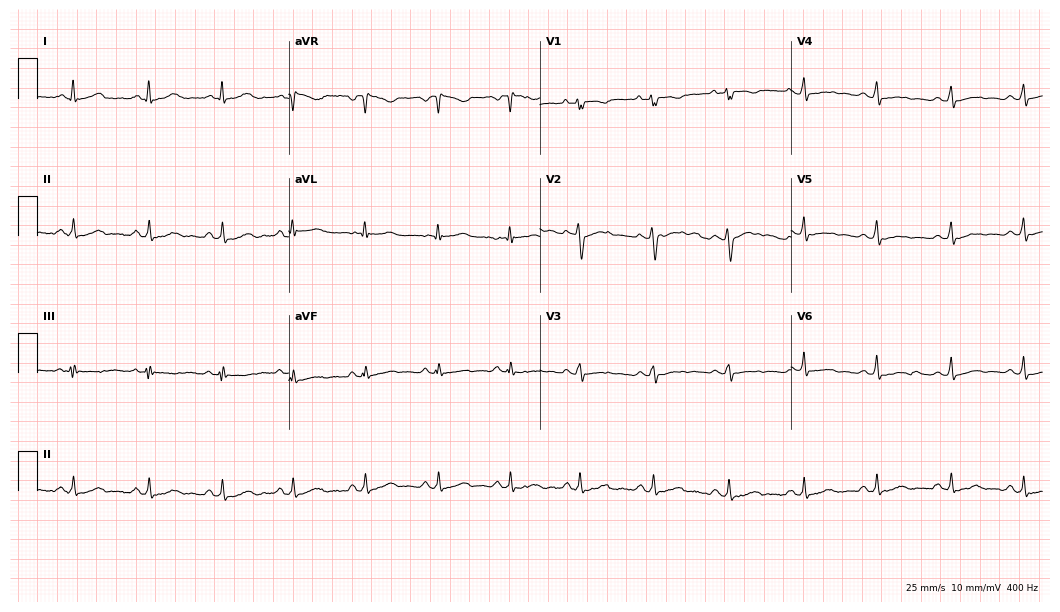
Standard 12-lead ECG recorded from a 21-year-old woman. None of these six findings is recorded: first-degree AV block, right bundle branch block, left bundle branch block, sinus bradycardia, atrial fibrillation, sinus tachycardia. Other findings, if any, are not listed.